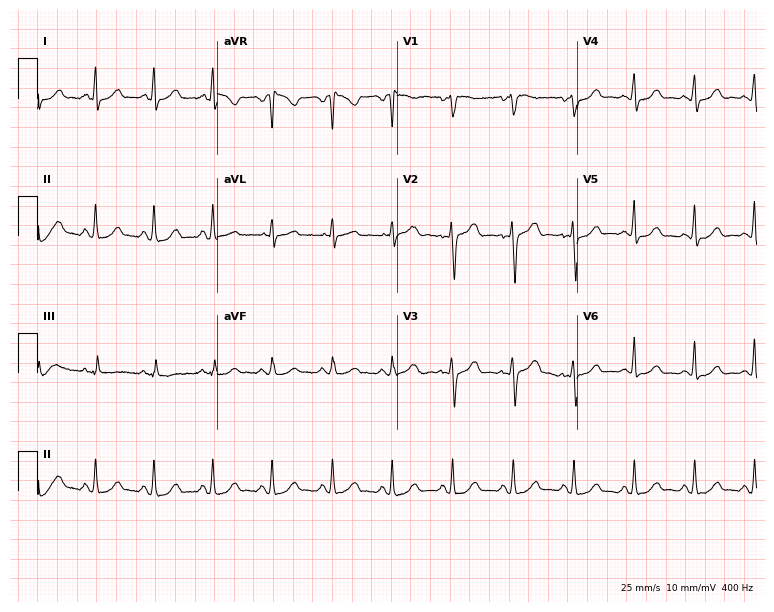
Standard 12-lead ECG recorded from a woman, 54 years old. None of these six findings is recorded: first-degree AV block, right bundle branch block, left bundle branch block, sinus bradycardia, atrial fibrillation, sinus tachycardia.